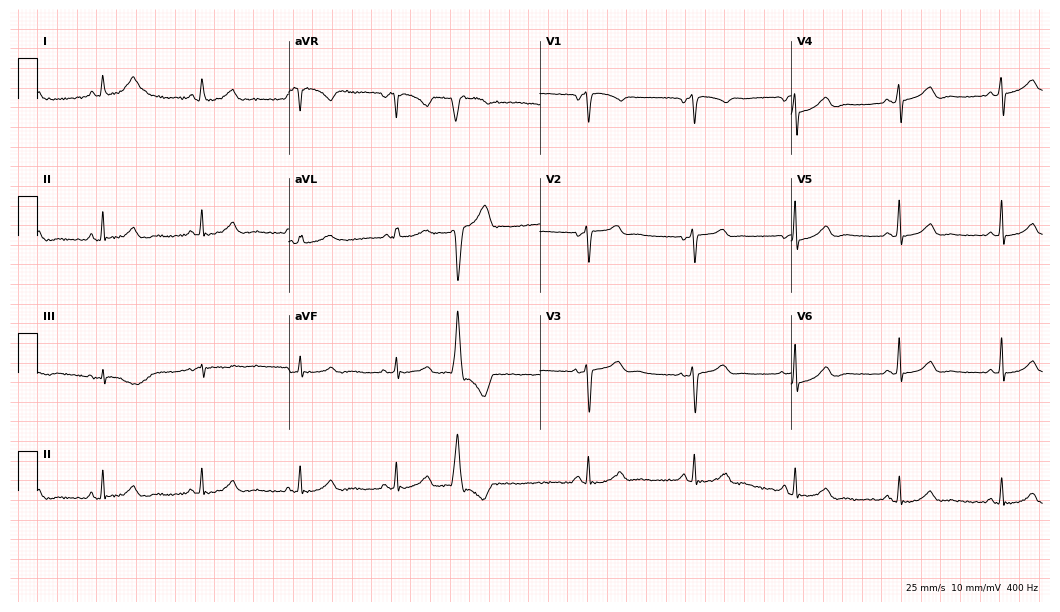
12-lead ECG from a 56-year-old female patient. Labelled as a normal ECG.